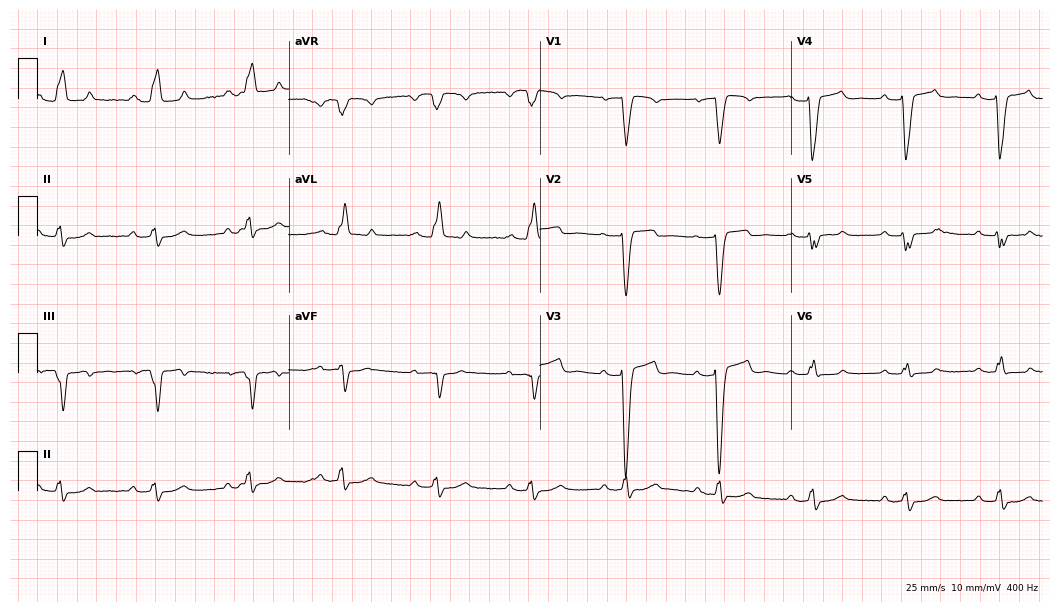
ECG (10.2-second recording at 400 Hz) — a female patient, 69 years old. Findings include left bundle branch block (LBBB).